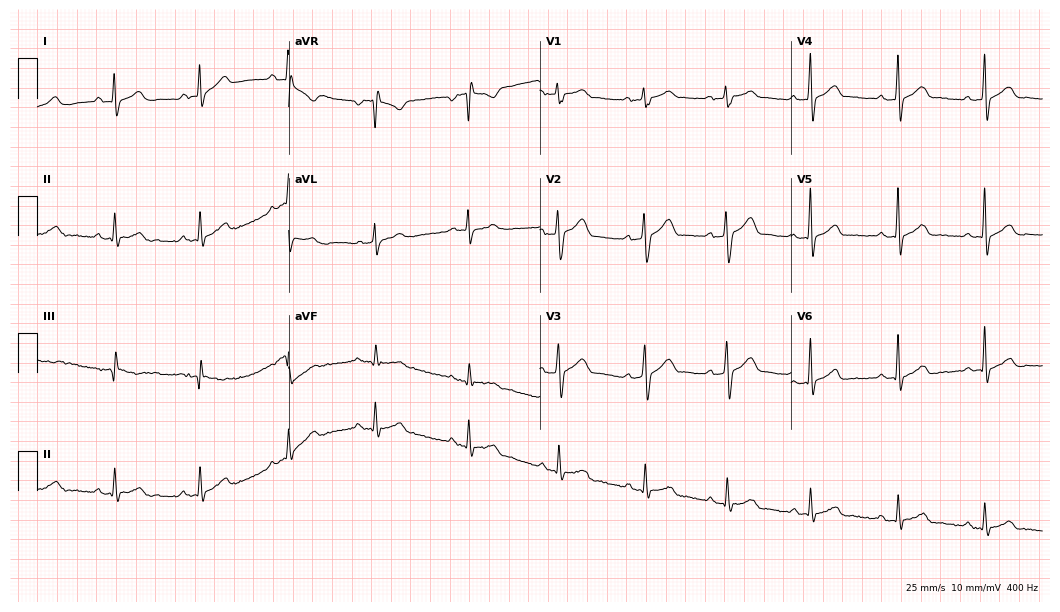
12-lead ECG (10.2-second recording at 400 Hz) from a man, 25 years old. Labelled as a normal ECG.